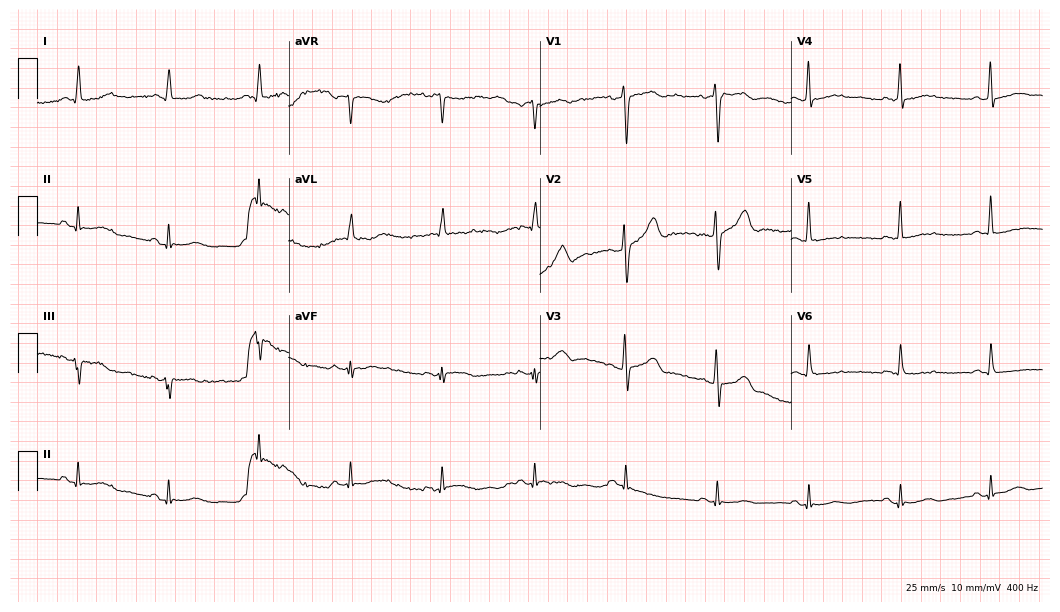
Resting 12-lead electrocardiogram (10.2-second recording at 400 Hz). Patient: a man, 45 years old. Read as a normal ECG.